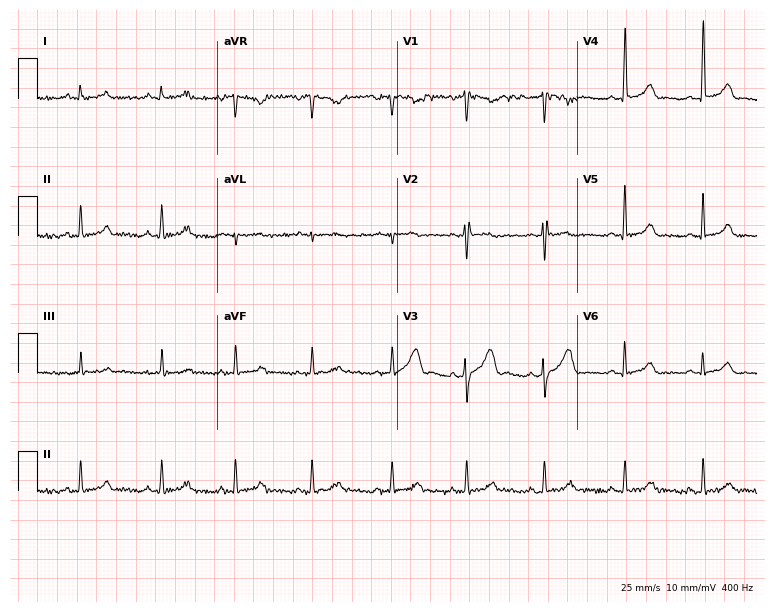
Electrocardiogram, a 29-year-old female. Of the six screened findings (first-degree AV block, right bundle branch block, left bundle branch block, sinus bradycardia, atrial fibrillation, sinus tachycardia), none is recorded.